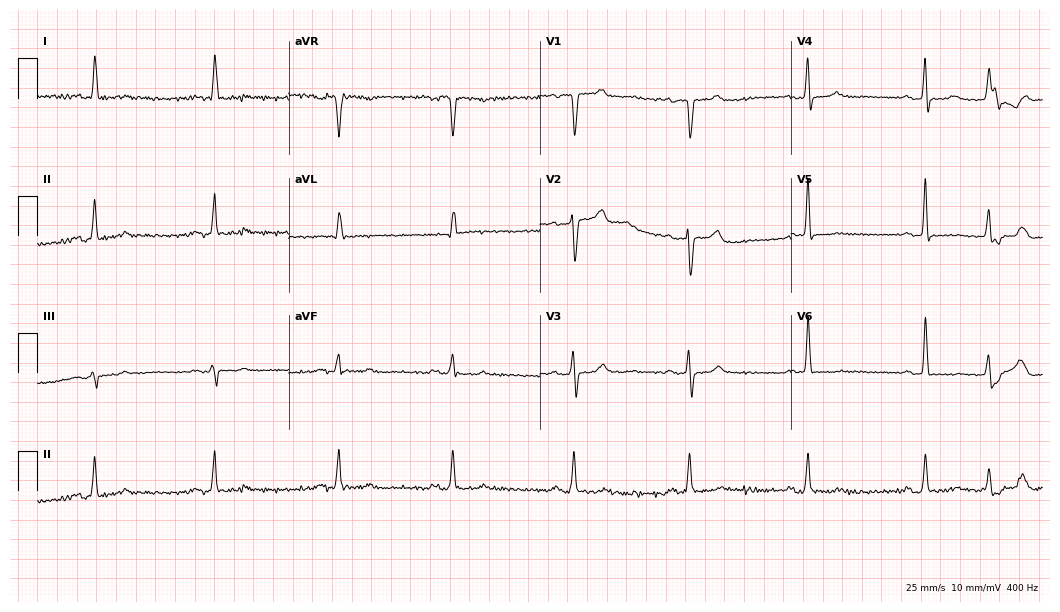
ECG — a female, 59 years old. Screened for six findings — first-degree AV block, right bundle branch block (RBBB), left bundle branch block (LBBB), sinus bradycardia, atrial fibrillation (AF), sinus tachycardia — none is recorded.